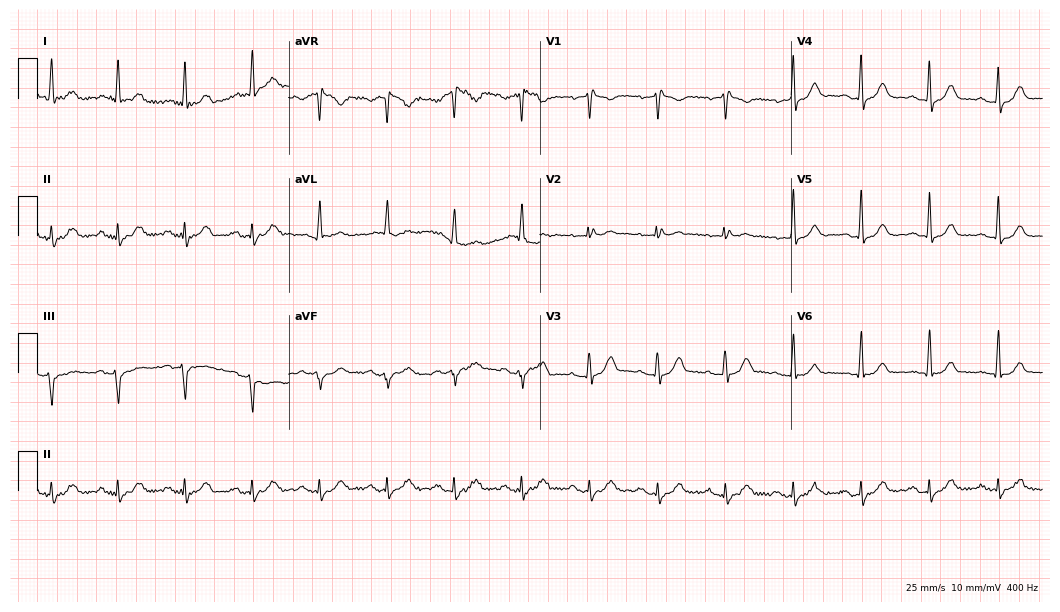
Resting 12-lead electrocardiogram (10.2-second recording at 400 Hz). Patient: a 61-year-old man. None of these six findings is recorded: first-degree AV block, right bundle branch block, left bundle branch block, sinus bradycardia, atrial fibrillation, sinus tachycardia.